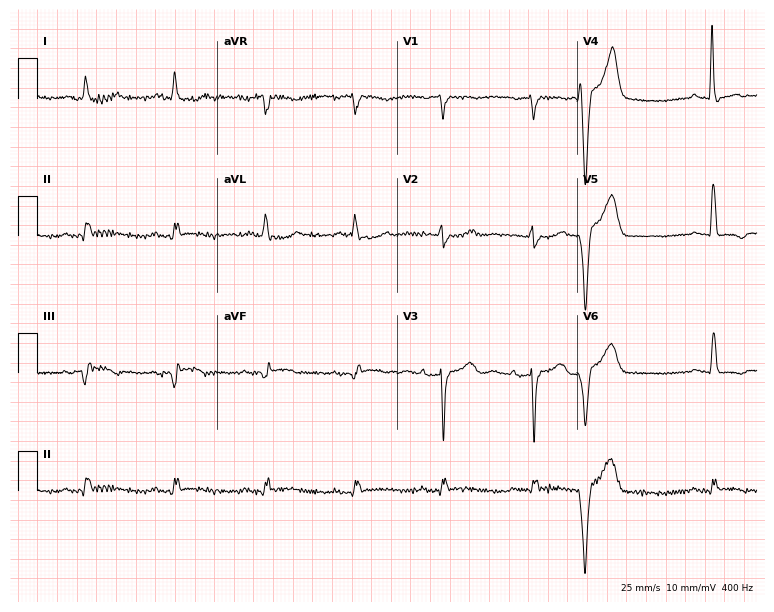
ECG (7.3-second recording at 400 Hz) — a female patient, 80 years old. Screened for six findings — first-degree AV block, right bundle branch block, left bundle branch block, sinus bradycardia, atrial fibrillation, sinus tachycardia — none is recorded. Only these six findings were labelled.